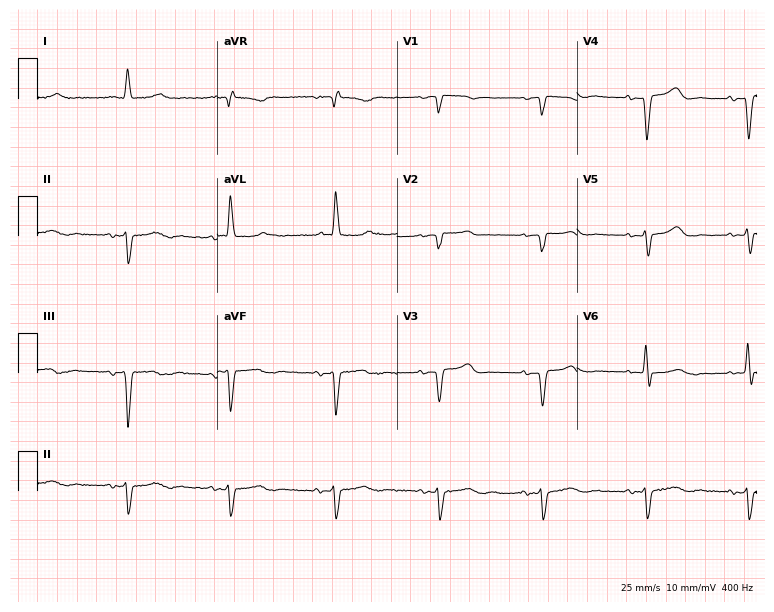
Standard 12-lead ECG recorded from a female, 72 years old (7.3-second recording at 400 Hz). None of these six findings is recorded: first-degree AV block, right bundle branch block, left bundle branch block, sinus bradycardia, atrial fibrillation, sinus tachycardia. Only these six findings were labelled.